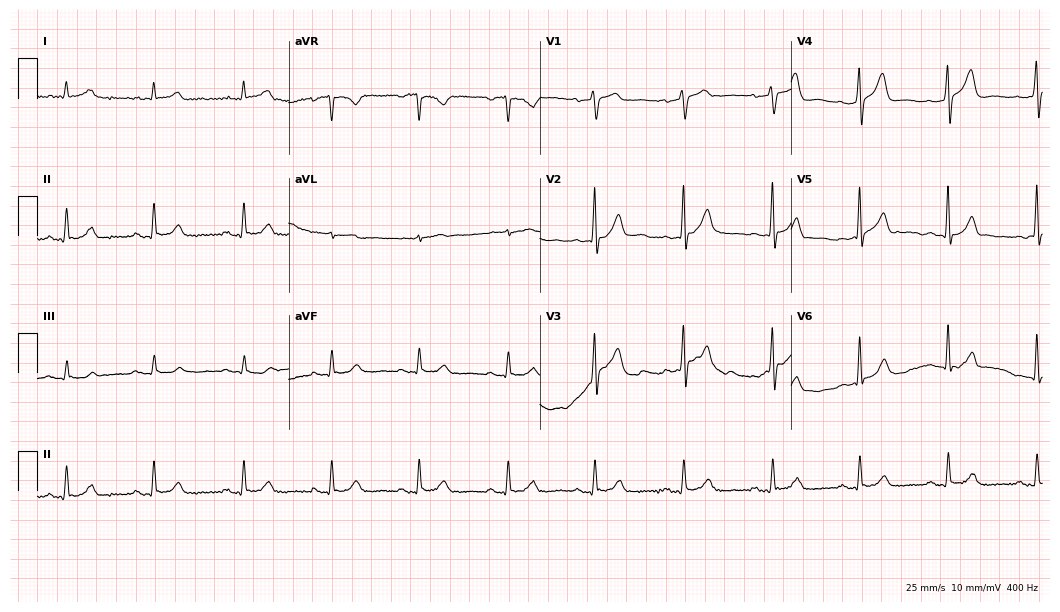
12-lead ECG from a 65-year-old man. Labelled as a normal ECG.